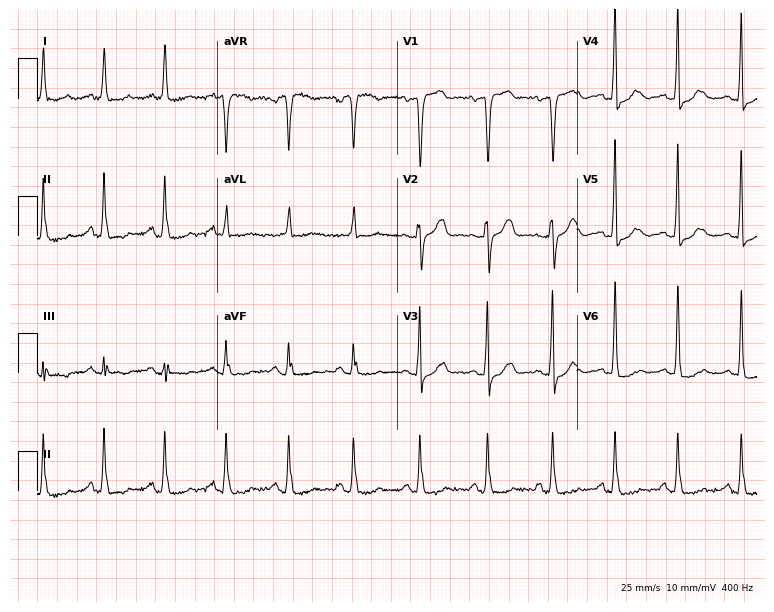
Standard 12-lead ECG recorded from an 81-year-old female (7.3-second recording at 400 Hz). Read as a normal ECG.